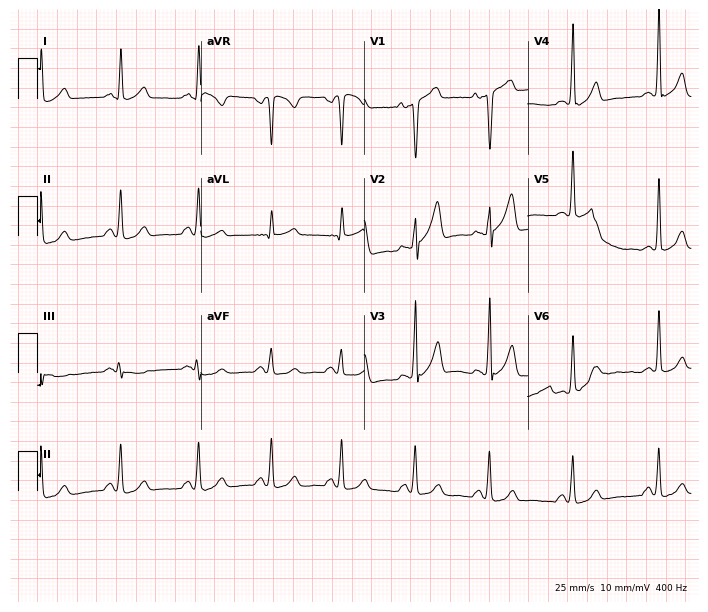
Standard 12-lead ECG recorded from a man, 39 years old (6.7-second recording at 400 Hz). Read as a normal ECG.